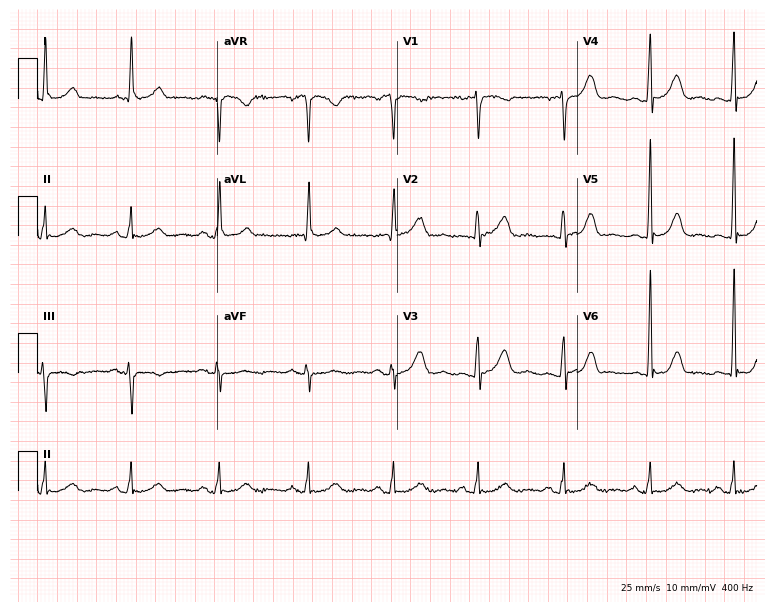
ECG — an 84-year-old female patient. Screened for six findings — first-degree AV block, right bundle branch block, left bundle branch block, sinus bradycardia, atrial fibrillation, sinus tachycardia — none is recorded. Only these six findings were labelled.